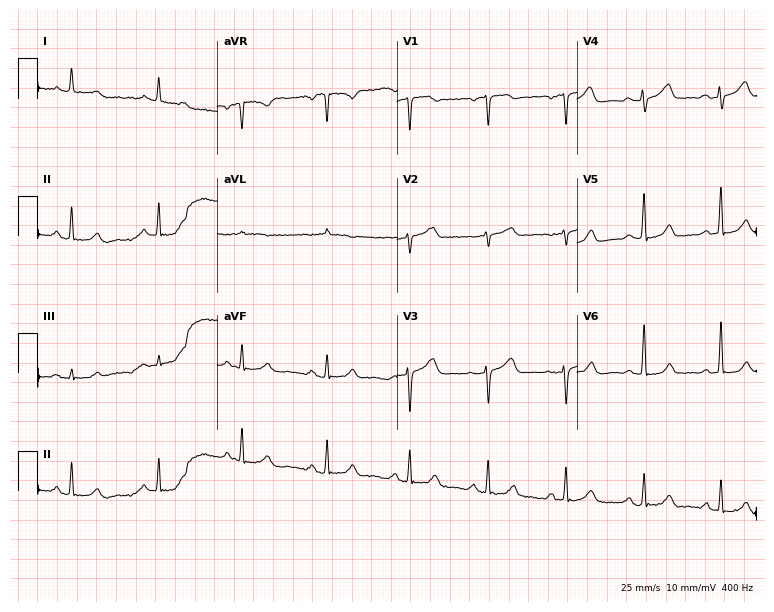
Standard 12-lead ECG recorded from a 64-year-old female patient (7.3-second recording at 400 Hz). None of these six findings is recorded: first-degree AV block, right bundle branch block (RBBB), left bundle branch block (LBBB), sinus bradycardia, atrial fibrillation (AF), sinus tachycardia. Only these six findings were labelled.